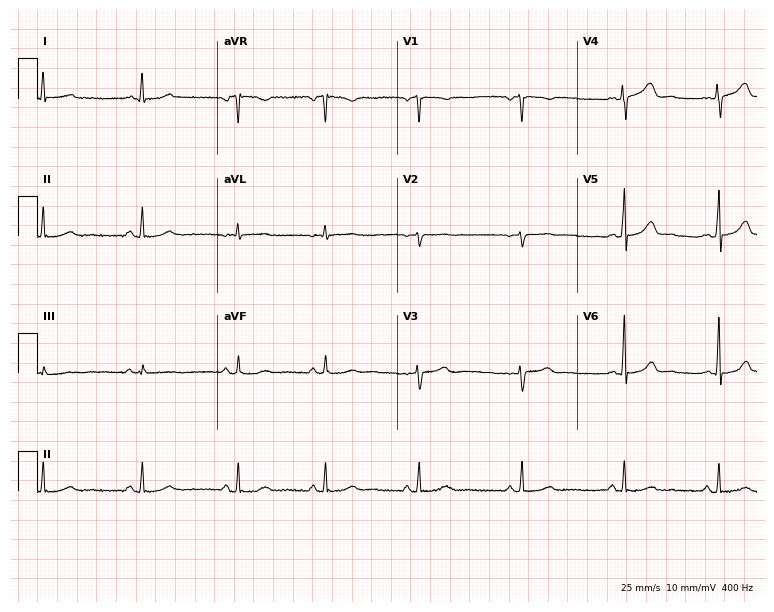
ECG — a woman, 62 years old. Labelled as a normal ECG.